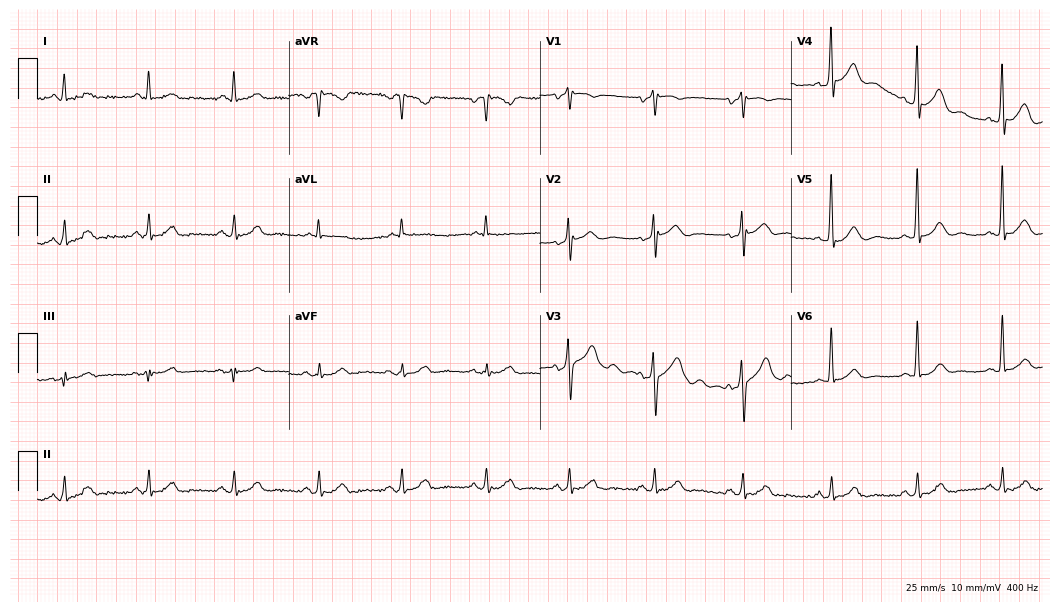
12-lead ECG (10.2-second recording at 400 Hz) from a 59-year-old man. Labelled as a normal ECG.